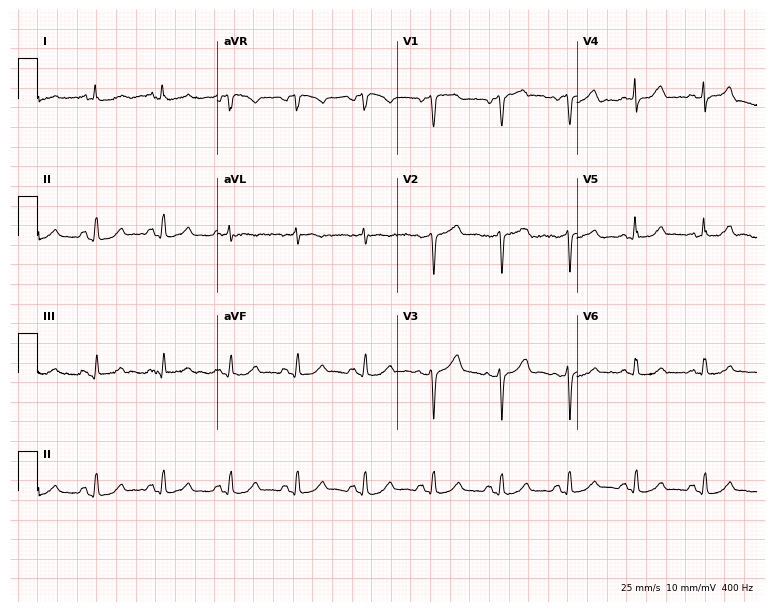
Standard 12-lead ECG recorded from a female patient, 73 years old (7.3-second recording at 400 Hz). None of these six findings is recorded: first-degree AV block, right bundle branch block (RBBB), left bundle branch block (LBBB), sinus bradycardia, atrial fibrillation (AF), sinus tachycardia. Only these six findings were labelled.